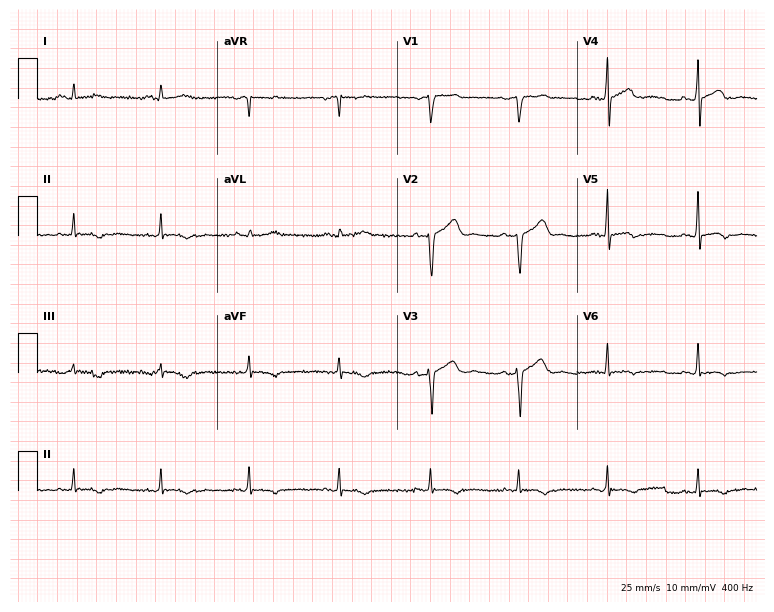
ECG — a man, 48 years old. Screened for six findings — first-degree AV block, right bundle branch block (RBBB), left bundle branch block (LBBB), sinus bradycardia, atrial fibrillation (AF), sinus tachycardia — none is recorded. Only these six findings were labelled.